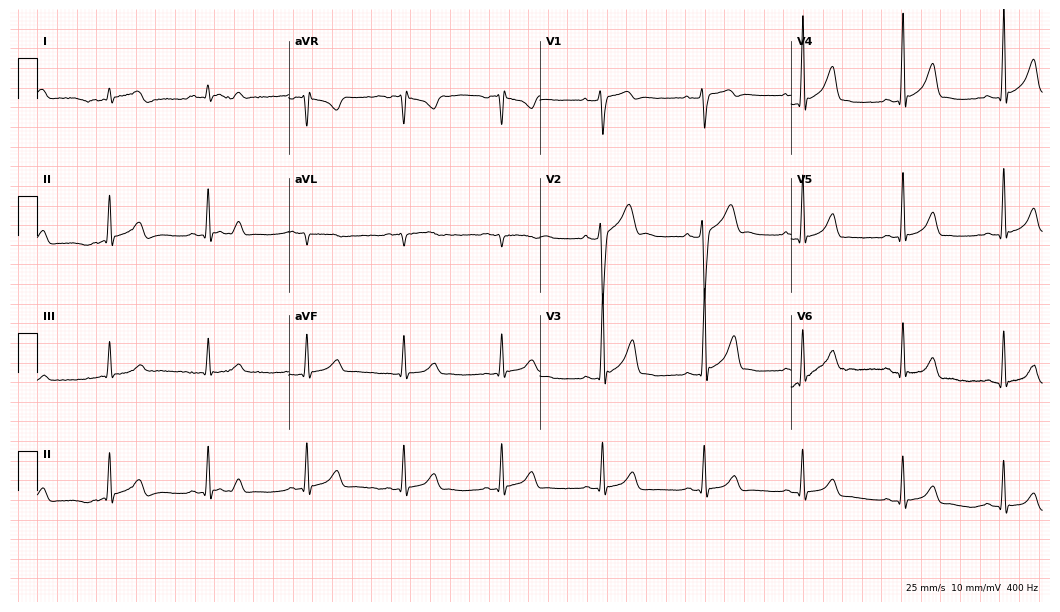
Standard 12-lead ECG recorded from a man, 34 years old (10.2-second recording at 400 Hz). Read as a normal ECG.